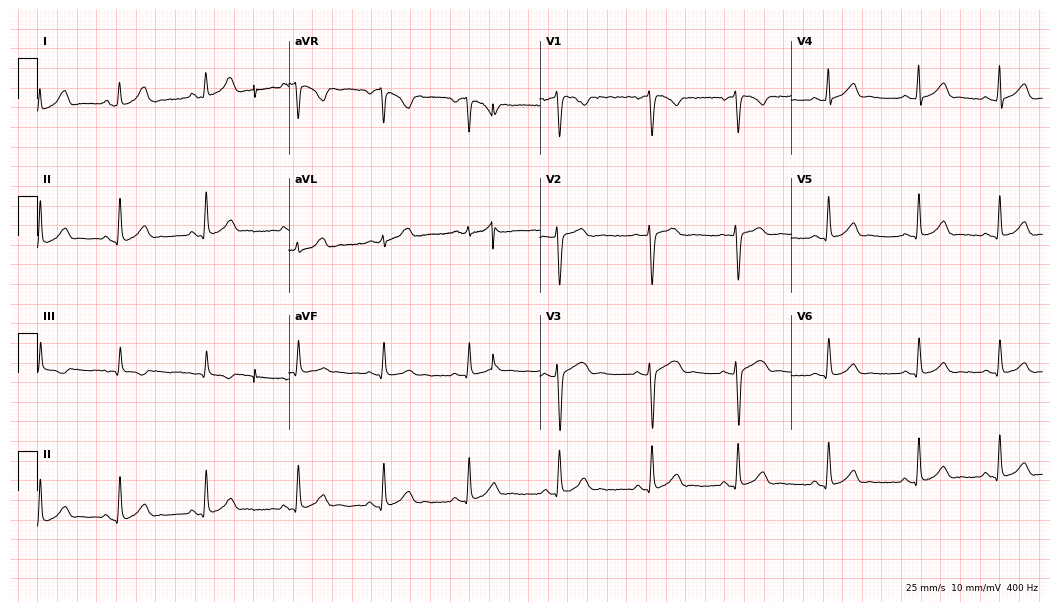
Resting 12-lead electrocardiogram. Patient: a female, 23 years old. None of these six findings is recorded: first-degree AV block, right bundle branch block, left bundle branch block, sinus bradycardia, atrial fibrillation, sinus tachycardia.